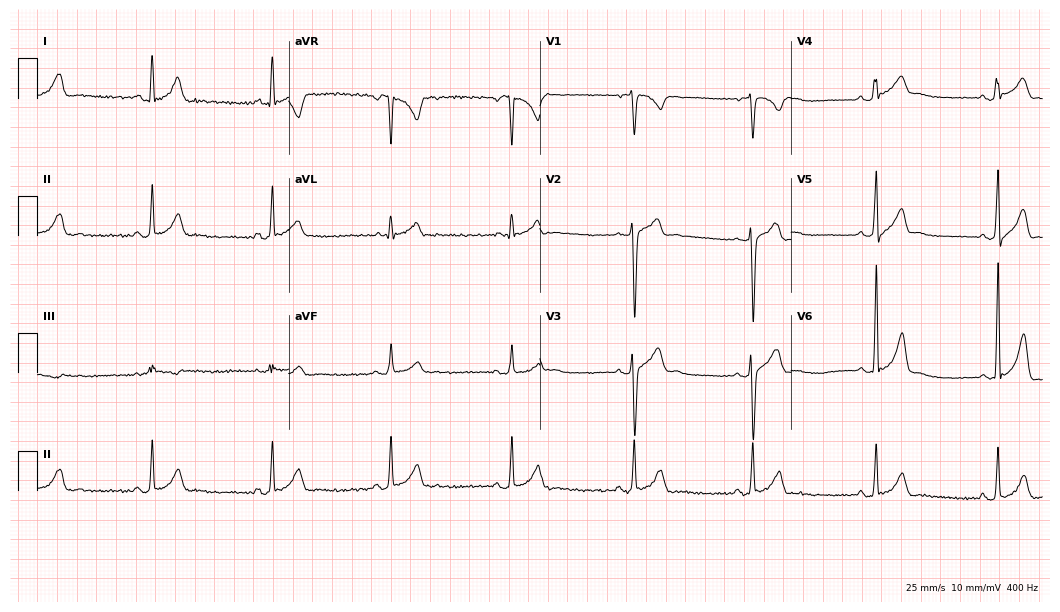
Standard 12-lead ECG recorded from a 36-year-old male patient. Read as a normal ECG.